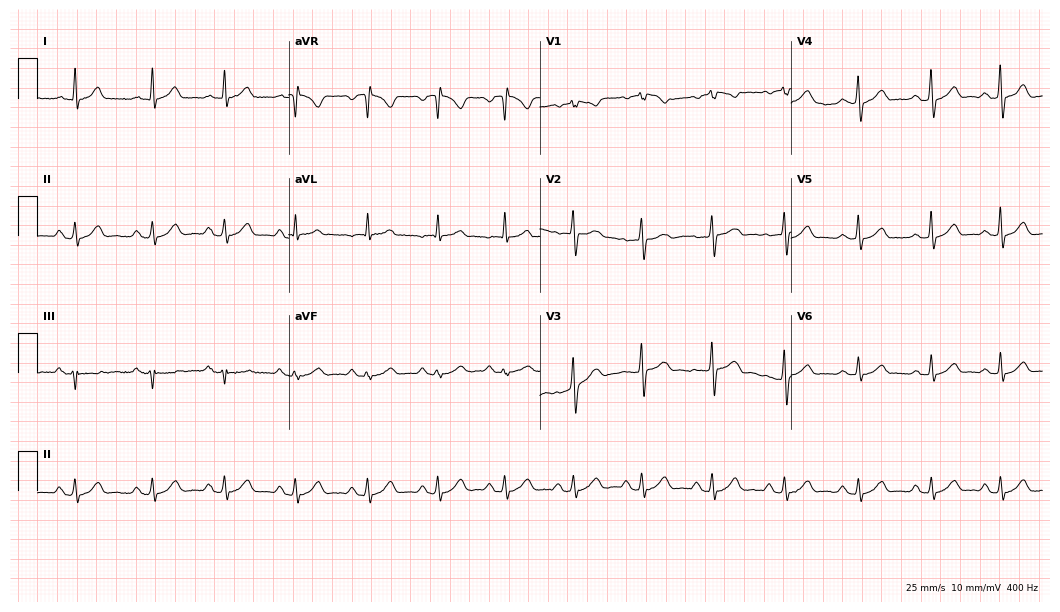
12-lead ECG from a woman, 35 years old. Recorded interpretation: within normal limits.